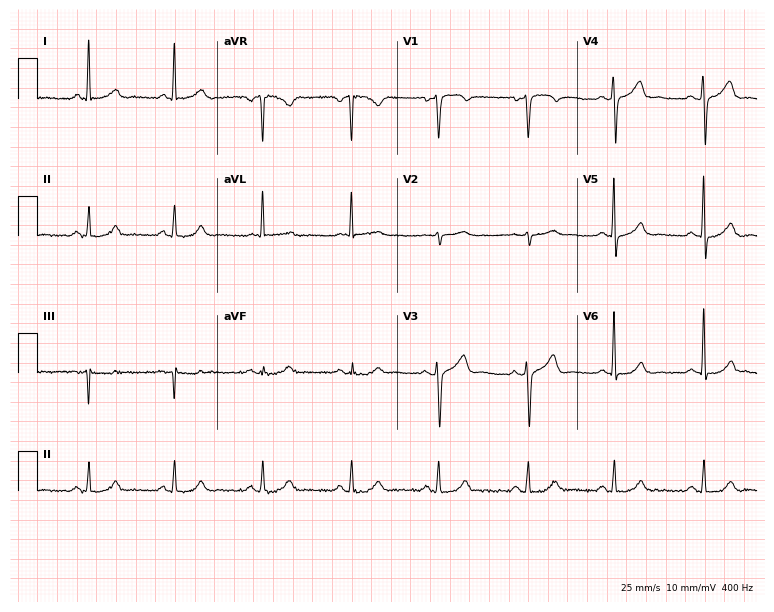
Standard 12-lead ECG recorded from a 61-year-old man. Read as a normal ECG.